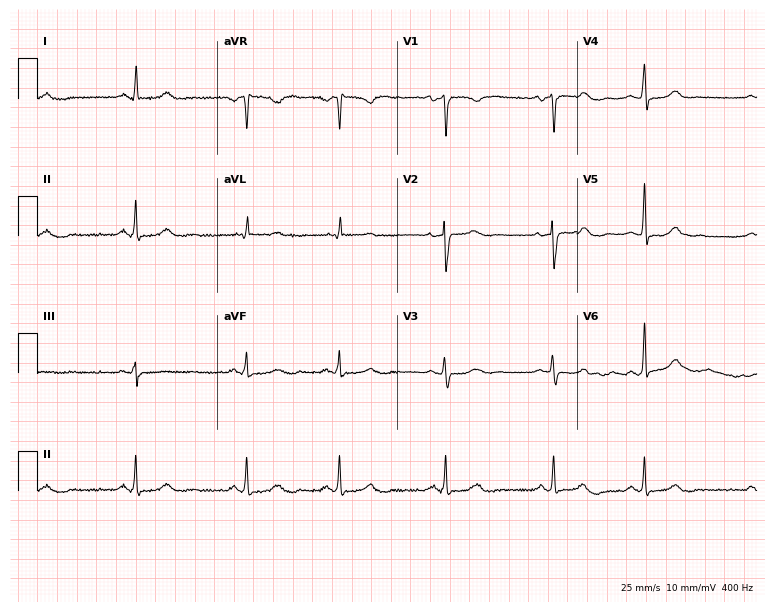
12-lead ECG from a 42-year-old female patient. Labelled as a normal ECG.